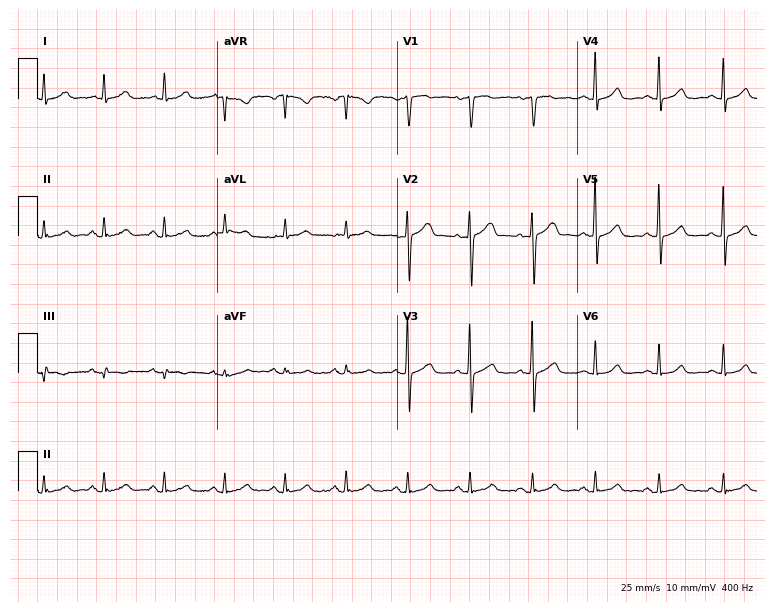
12-lead ECG (7.3-second recording at 400 Hz) from a 60-year-old male patient. Labelled as a normal ECG.